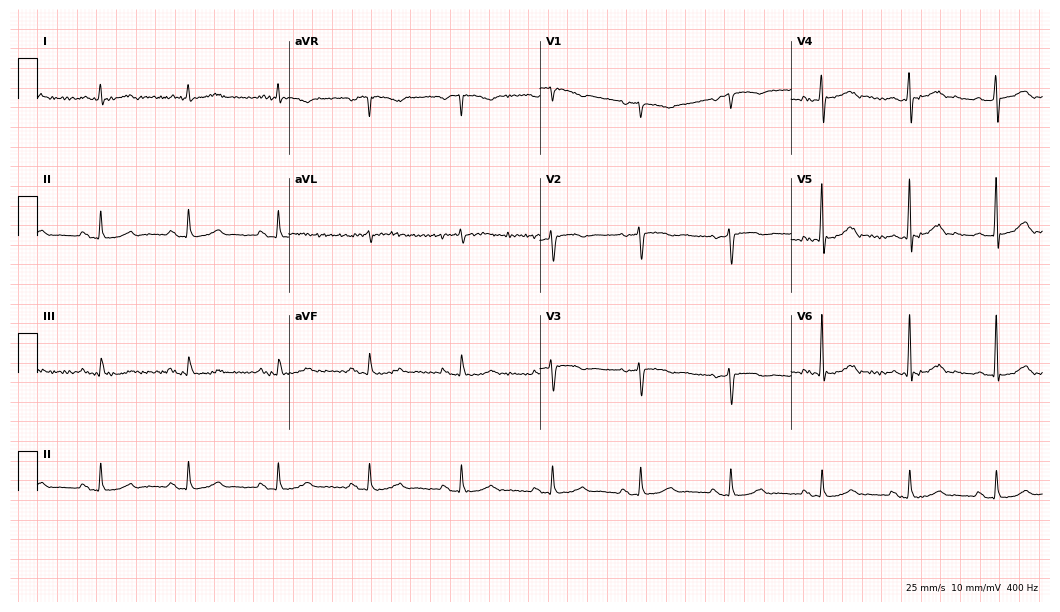
ECG — a female patient, 68 years old. Screened for six findings — first-degree AV block, right bundle branch block (RBBB), left bundle branch block (LBBB), sinus bradycardia, atrial fibrillation (AF), sinus tachycardia — none is recorded.